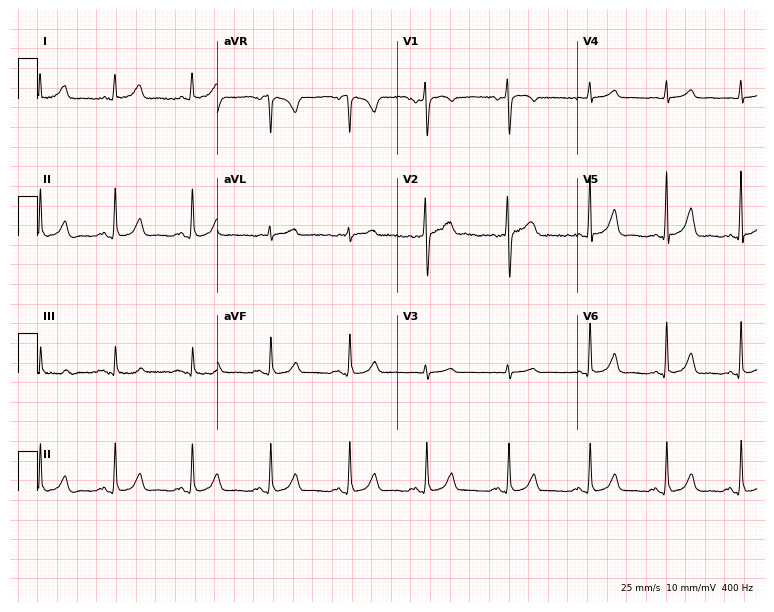
12-lead ECG from a 42-year-old female. Recorded interpretation: within normal limits.